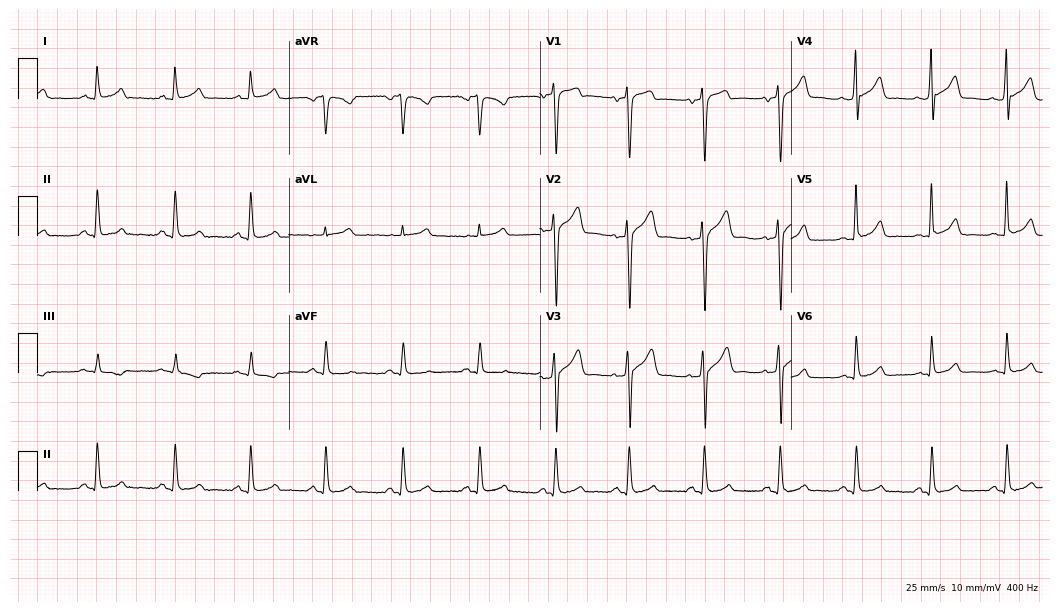
Standard 12-lead ECG recorded from a male, 42 years old (10.2-second recording at 400 Hz). Read as a normal ECG.